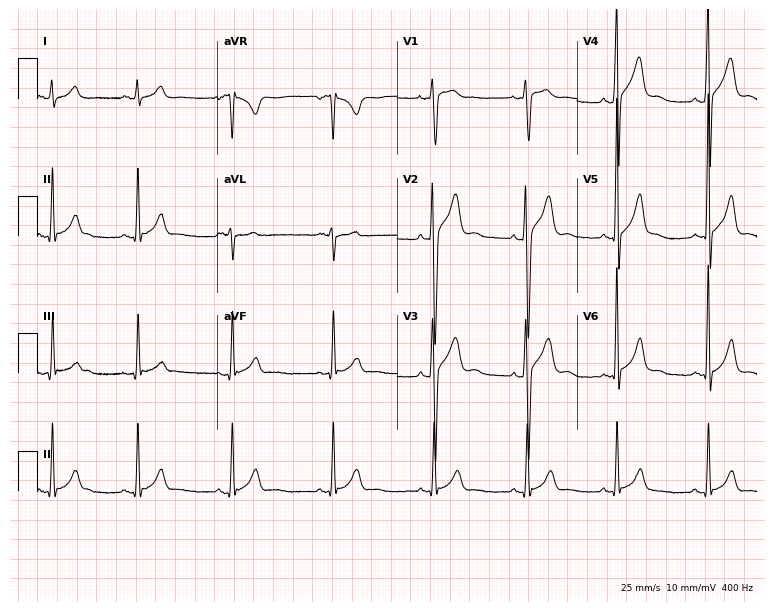
Electrocardiogram, a man, 25 years old. Overall reading on record: normal ECG.